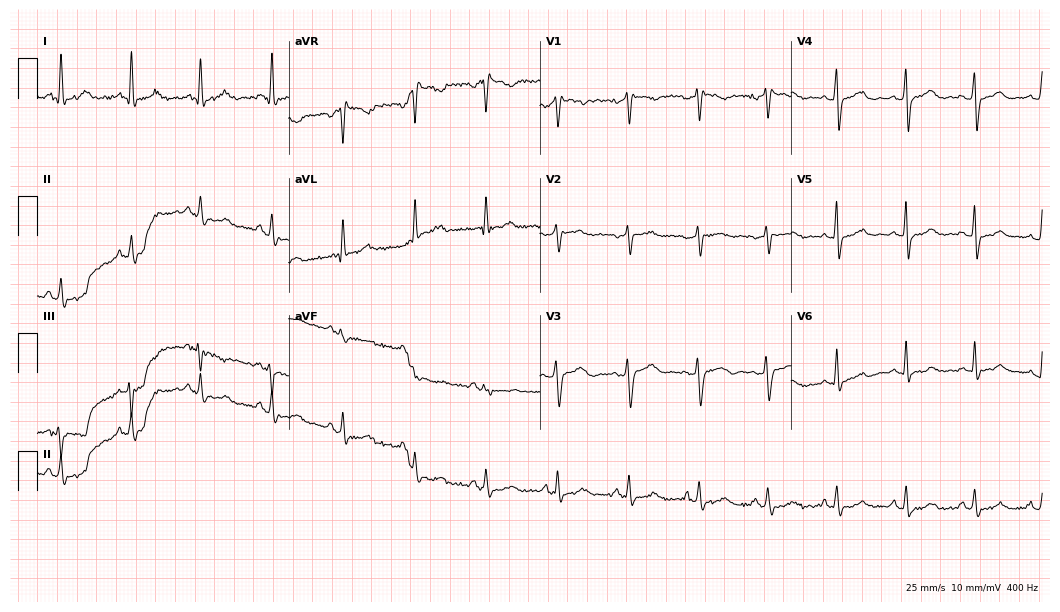
Standard 12-lead ECG recorded from a 46-year-old female patient (10.2-second recording at 400 Hz). None of these six findings is recorded: first-degree AV block, right bundle branch block, left bundle branch block, sinus bradycardia, atrial fibrillation, sinus tachycardia. Other findings, if any, are not listed.